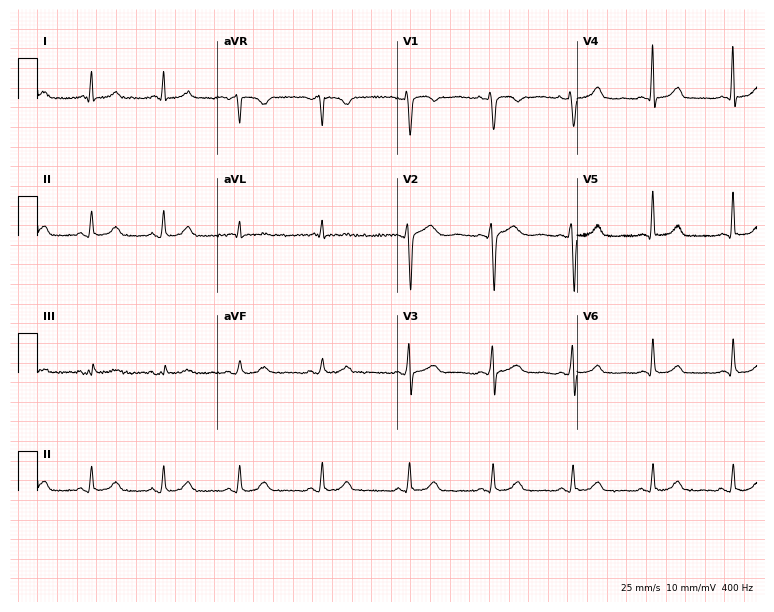
Resting 12-lead electrocardiogram (7.3-second recording at 400 Hz). Patient: a 39-year-old female. None of these six findings is recorded: first-degree AV block, right bundle branch block, left bundle branch block, sinus bradycardia, atrial fibrillation, sinus tachycardia. Other findings, if any, are not listed.